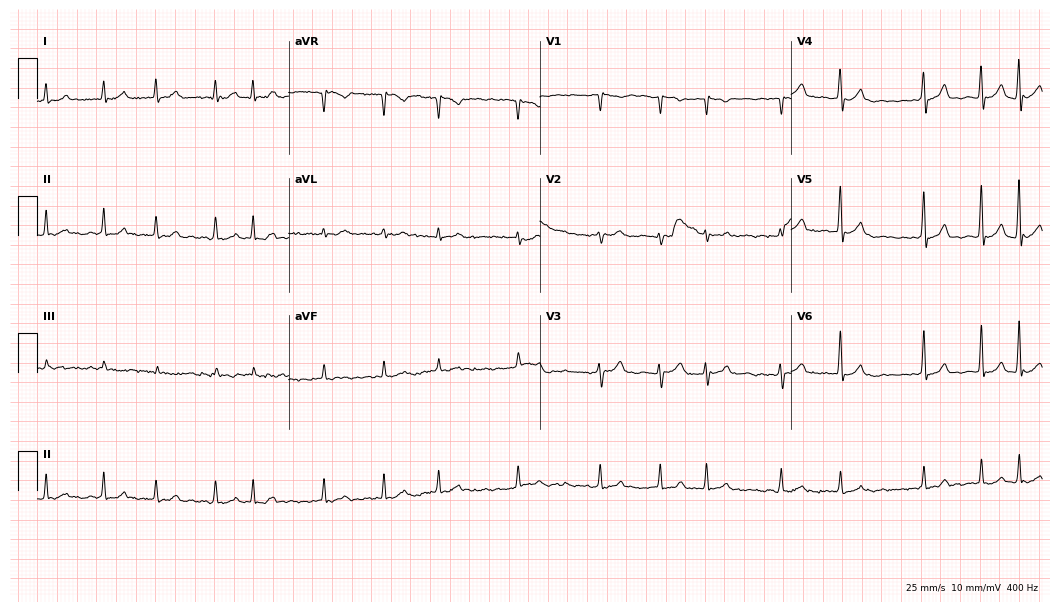
Electrocardiogram, a male patient, 59 years old. Interpretation includes atrial fibrillation (AF).